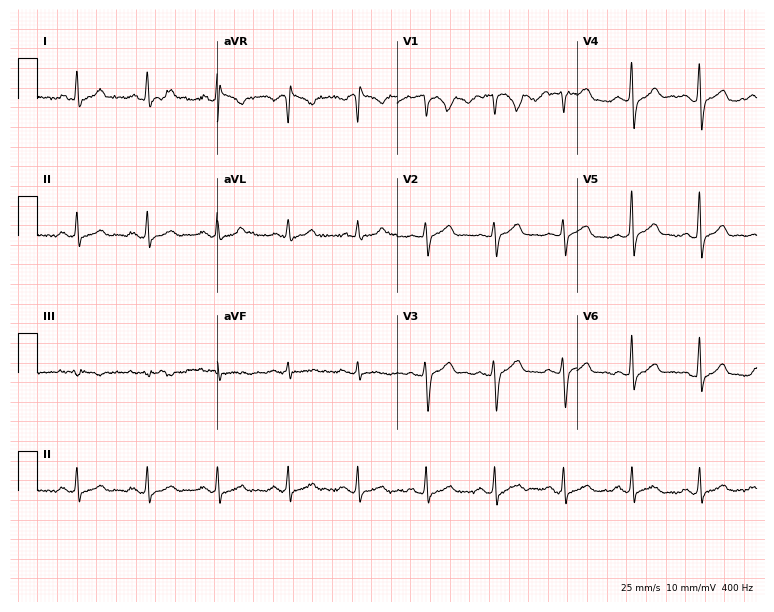
12-lead ECG from a 53-year-old female. Recorded interpretation: within normal limits.